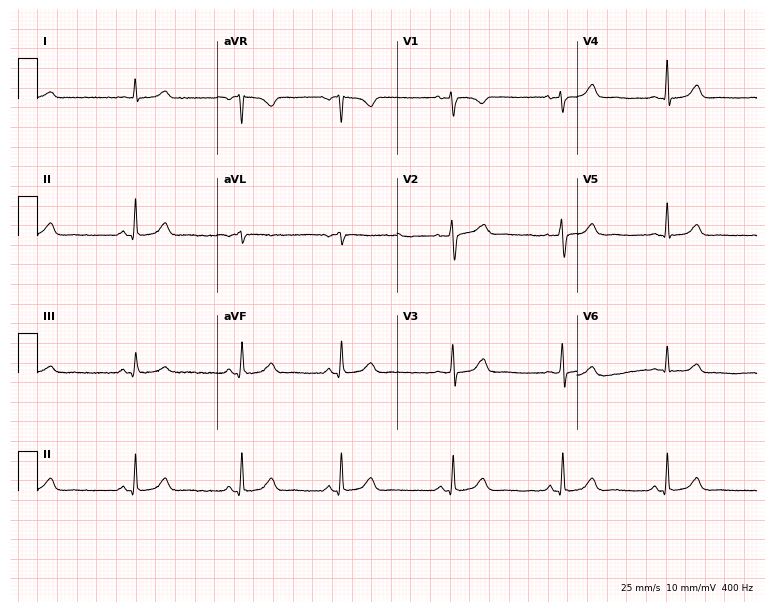
Resting 12-lead electrocardiogram. Patient: a female, 45 years old. Read as a normal ECG.